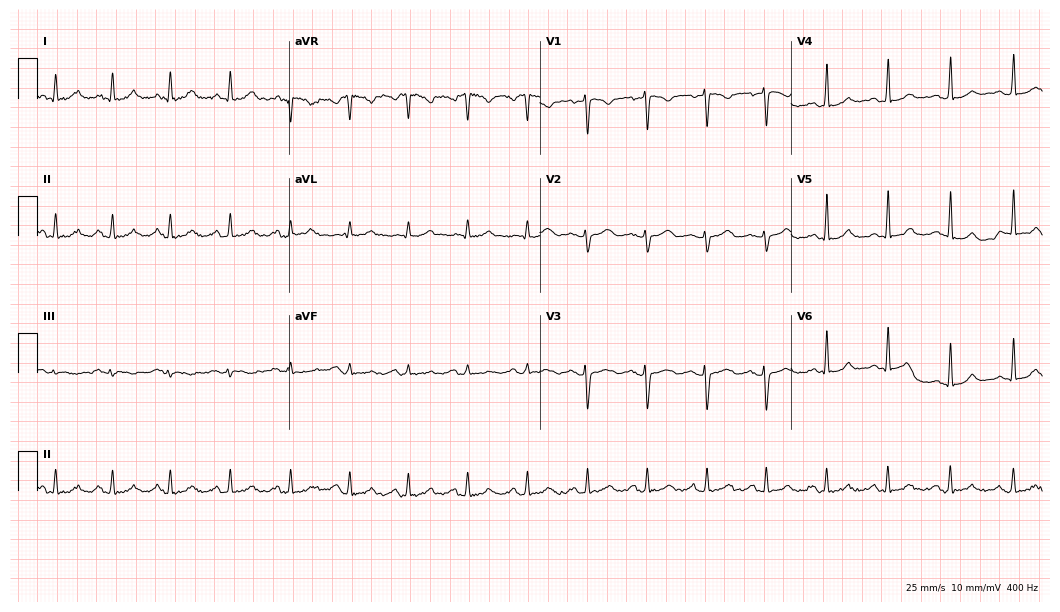
12-lead ECG from a 33-year-old woman. No first-degree AV block, right bundle branch block (RBBB), left bundle branch block (LBBB), sinus bradycardia, atrial fibrillation (AF) or sinus tachycardia recorded for this tracing.